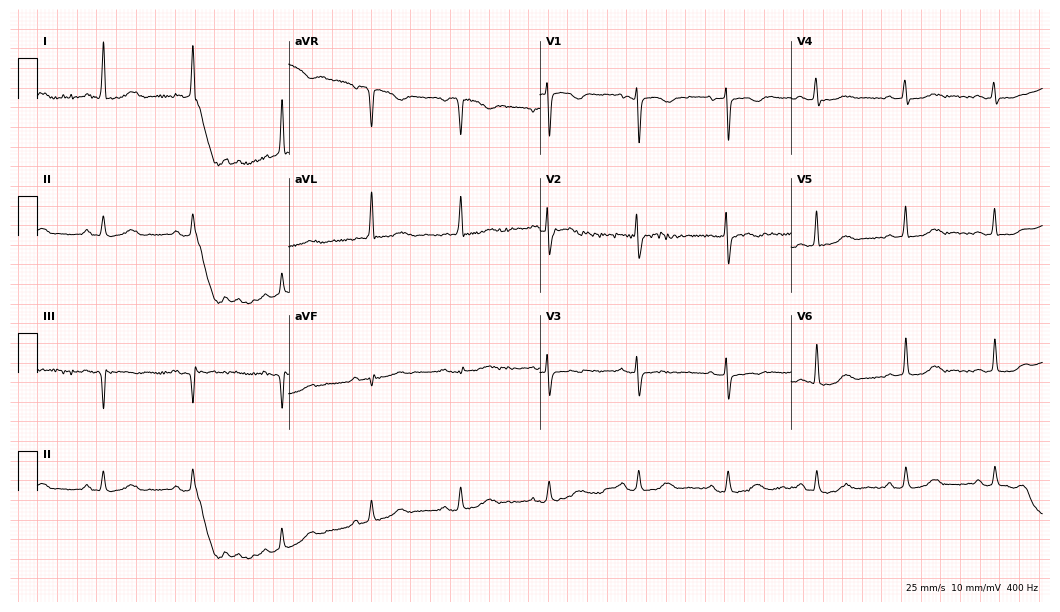
ECG — a 77-year-old female patient. Labelled as a normal ECG.